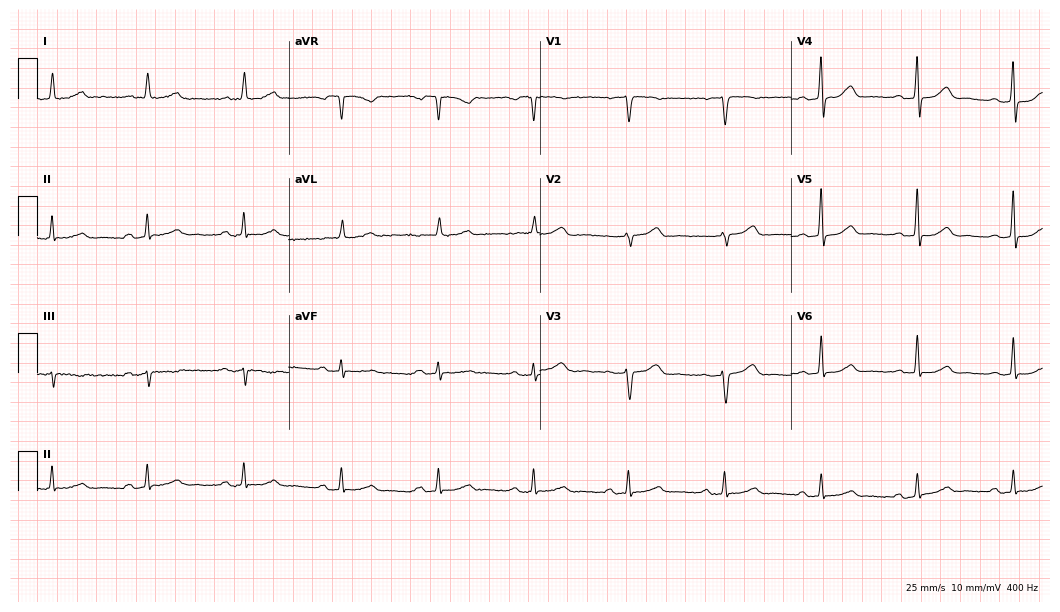
Resting 12-lead electrocardiogram (10.2-second recording at 400 Hz). Patient: a 71-year-old woman. Read as a normal ECG.